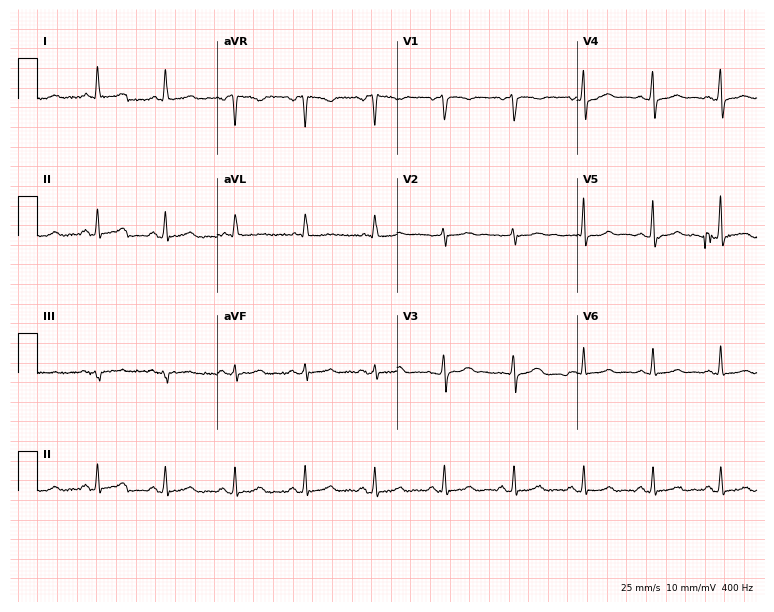
12-lead ECG from a woman, 56 years old (7.3-second recording at 400 Hz). Recorded interpretation: within normal limits.